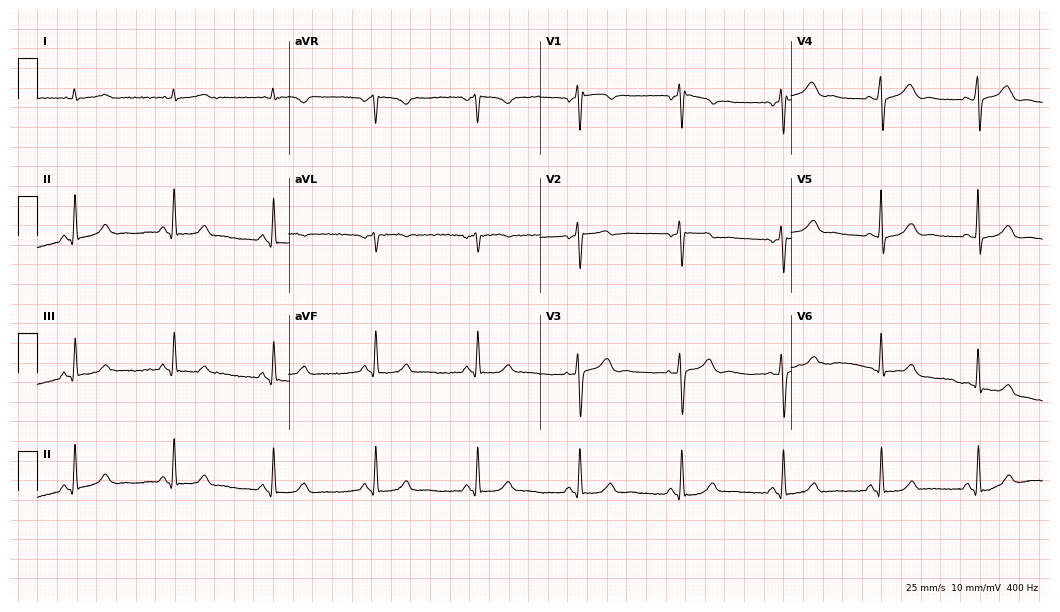
ECG (10.2-second recording at 400 Hz) — a 42-year-old female. Labelled as a normal ECG.